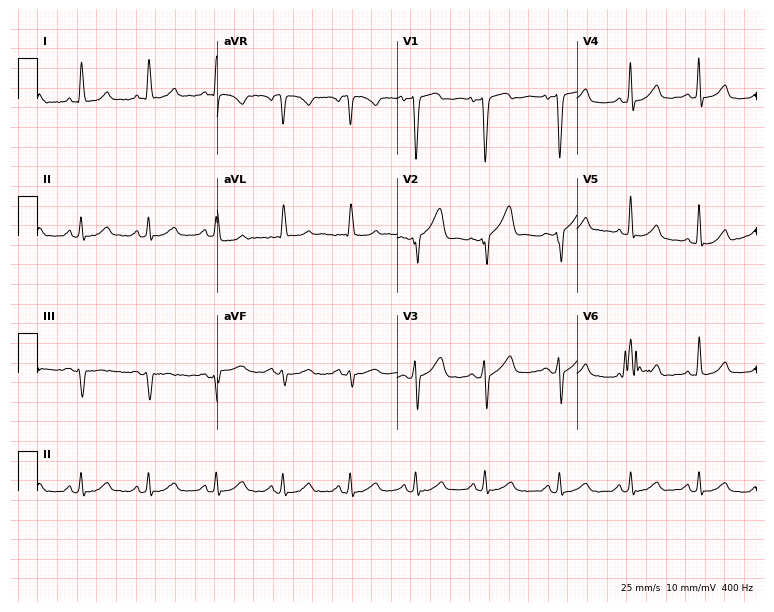
Resting 12-lead electrocardiogram (7.3-second recording at 400 Hz). Patient: a 57-year-old woman. None of these six findings is recorded: first-degree AV block, right bundle branch block, left bundle branch block, sinus bradycardia, atrial fibrillation, sinus tachycardia. Only these six findings were labelled.